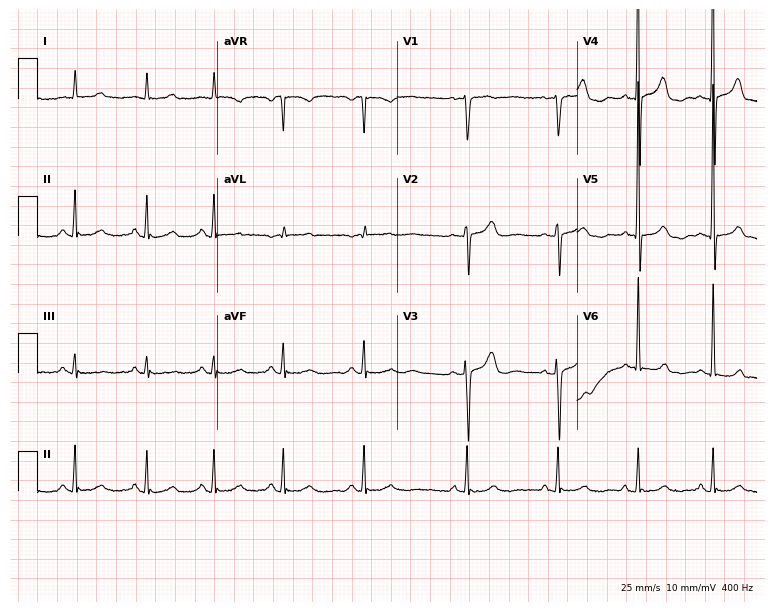
12-lead ECG from a 40-year-old woman (7.3-second recording at 400 Hz). No first-degree AV block, right bundle branch block, left bundle branch block, sinus bradycardia, atrial fibrillation or sinus tachycardia recorded for this tracing.